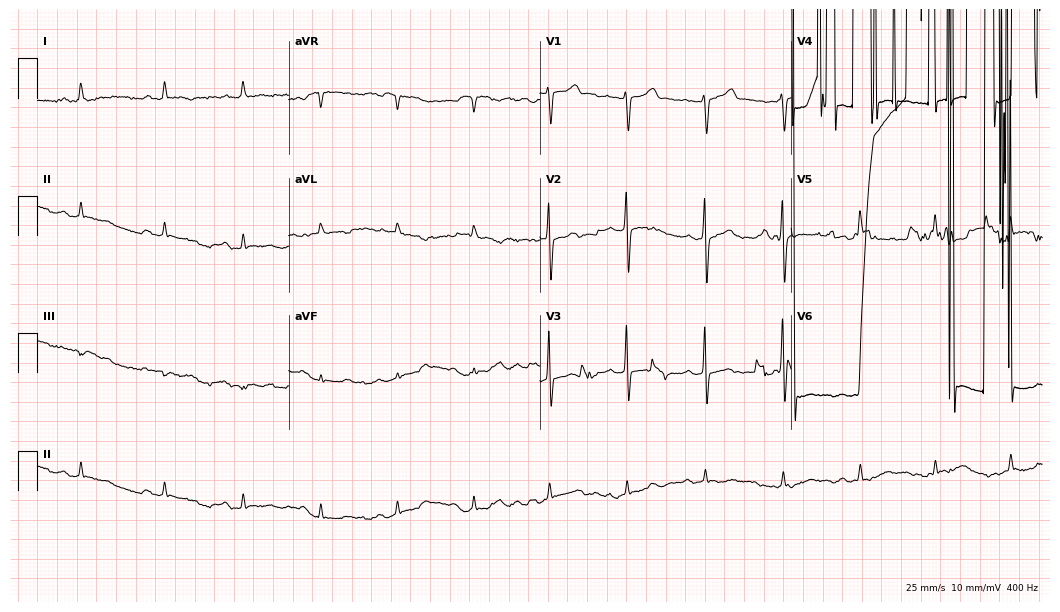
Standard 12-lead ECG recorded from a 76-year-old male. None of these six findings is recorded: first-degree AV block, right bundle branch block, left bundle branch block, sinus bradycardia, atrial fibrillation, sinus tachycardia.